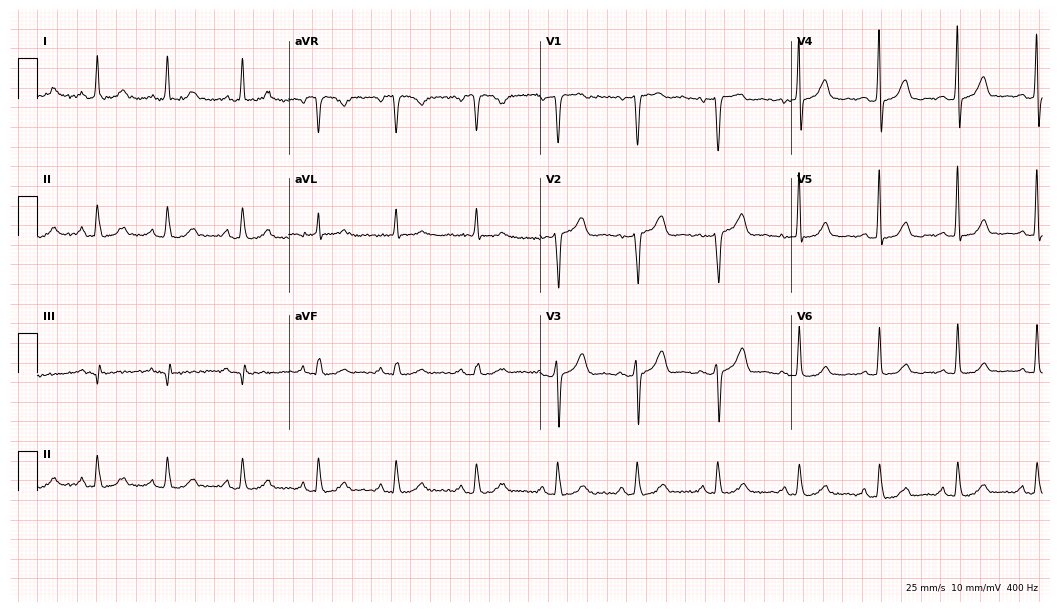
Resting 12-lead electrocardiogram (10.2-second recording at 400 Hz). Patient: a woman, 62 years old. Read as a normal ECG.